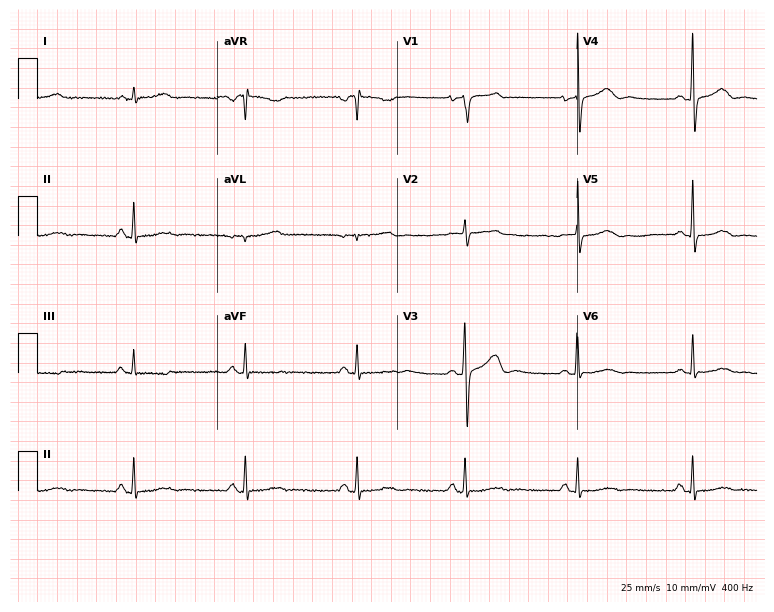
12-lead ECG from a male, 70 years old (7.3-second recording at 400 Hz). Recorded interpretation: within normal limits.